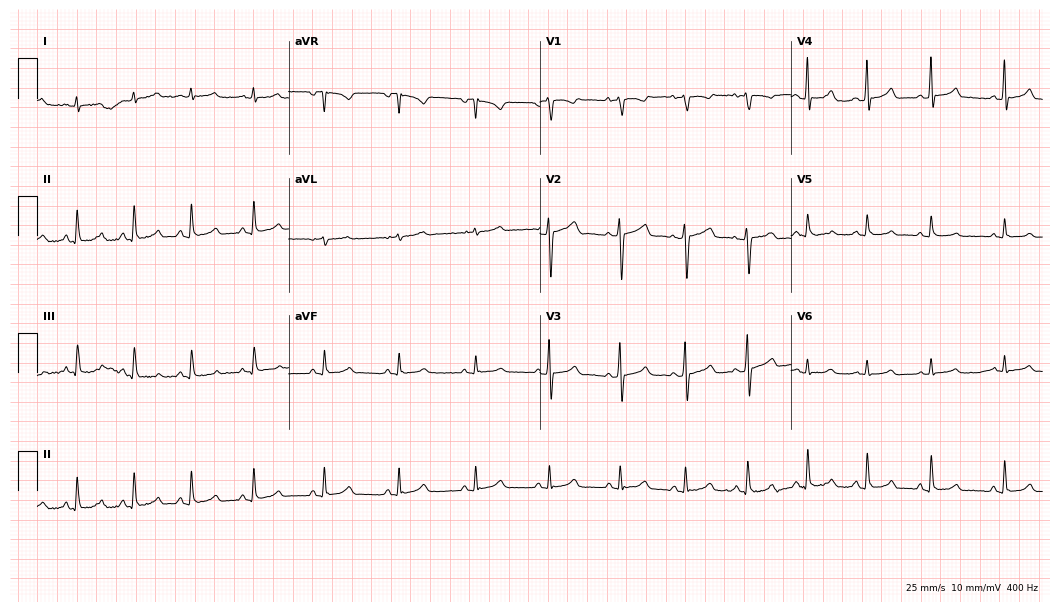
Electrocardiogram, a 23-year-old female. Of the six screened findings (first-degree AV block, right bundle branch block (RBBB), left bundle branch block (LBBB), sinus bradycardia, atrial fibrillation (AF), sinus tachycardia), none is recorded.